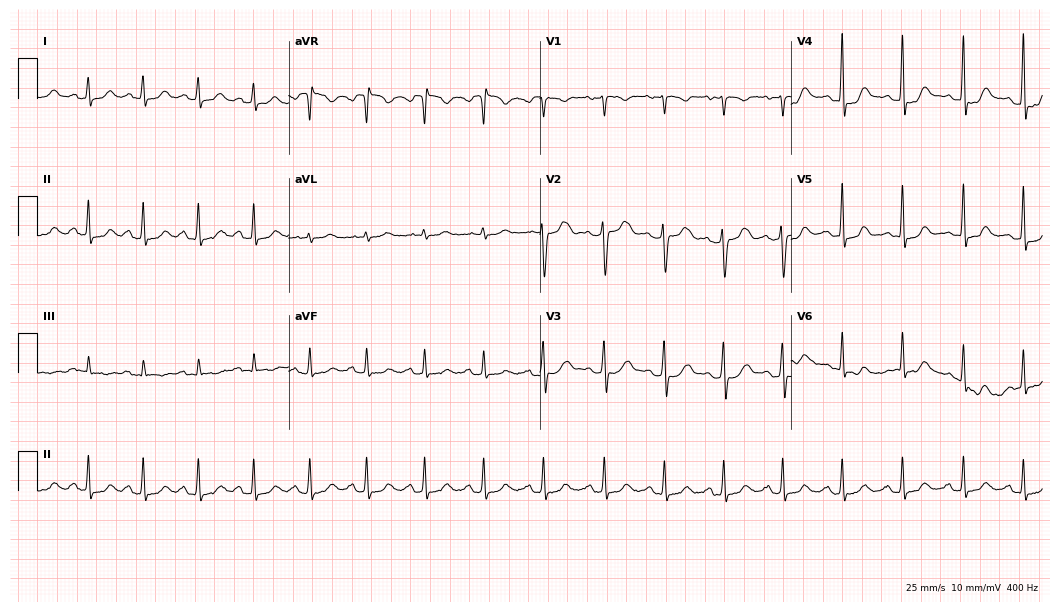
12-lead ECG from a female, 26 years old. Findings include sinus tachycardia (a sinus rate of 100 beats per minute or more).